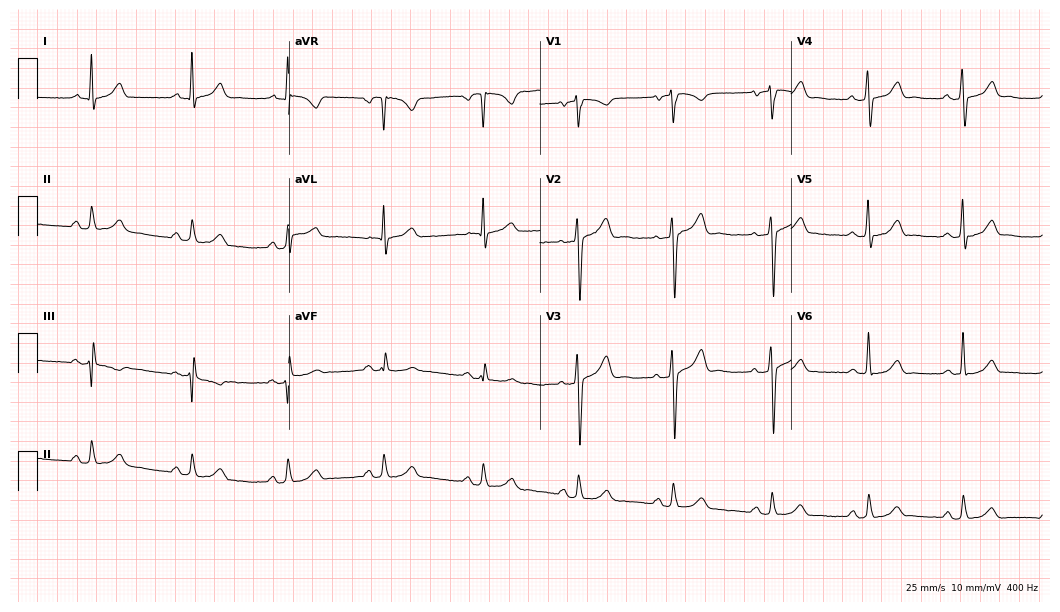
Electrocardiogram, a 53-year-old male. Of the six screened findings (first-degree AV block, right bundle branch block, left bundle branch block, sinus bradycardia, atrial fibrillation, sinus tachycardia), none is recorded.